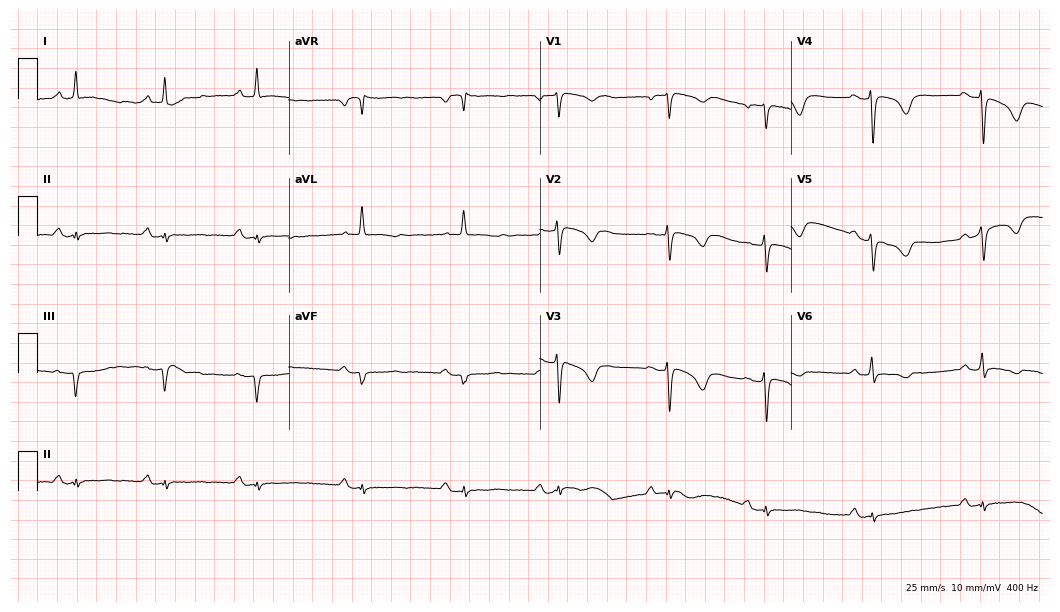
12-lead ECG from a female, 58 years old. No first-degree AV block, right bundle branch block (RBBB), left bundle branch block (LBBB), sinus bradycardia, atrial fibrillation (AF) or sinus tachycardia recorded for this tracing. Only these six findings were labelled.